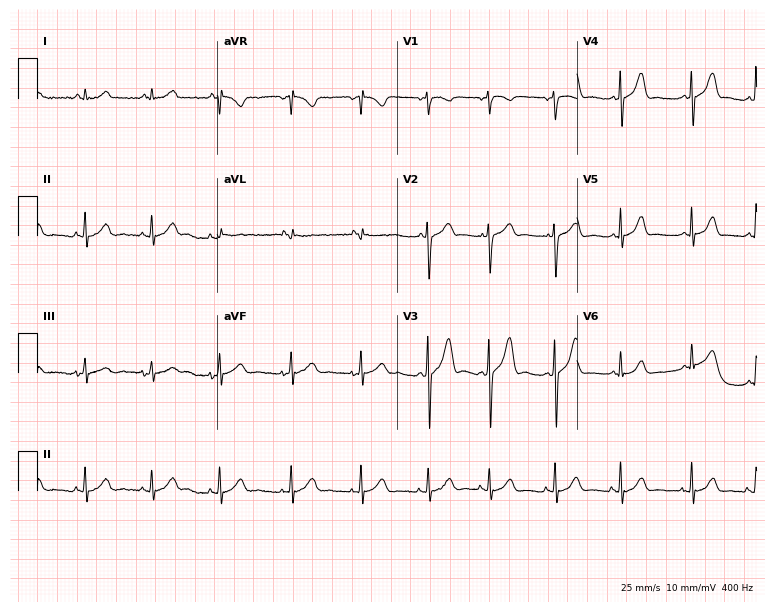
12-lead ECG (7.3-second recording at 400 Hz) from a male, 29 years old. Screened for six findings — first-degree AV block, right bundle branch block, left bundle branch block, sinus bradycardia, atrial fibrillation, sinus tachycardia — none is recorded.